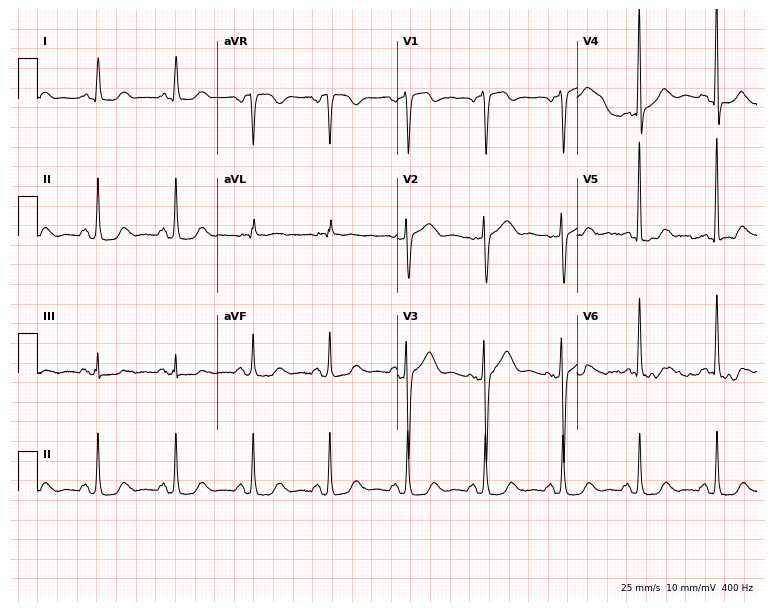
12-lead ECG from a female, 79 years old. No first-degree AV block, right bundle branch block, left bundle branch block, sinus bradycardia, atrial fibrillation or sinus tachycardia recorded for this tracing.